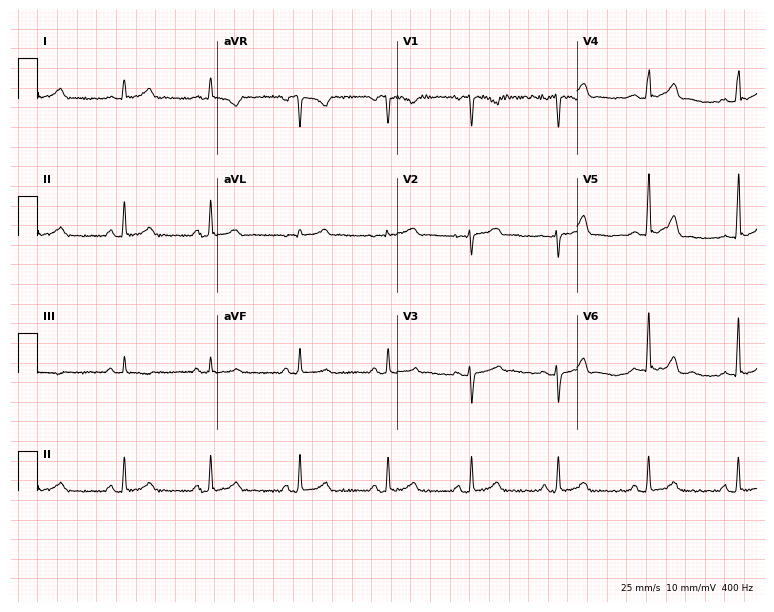
Electrocardiogram (7.3-second recording at 400 Hz), a woman, 33 years old. Of the six screened findings (first-degree AV block, right bundle branch block, left bundle branch block, sinus bradycardia, atrial fibrillation, sinus tachycardia), none is recorded.